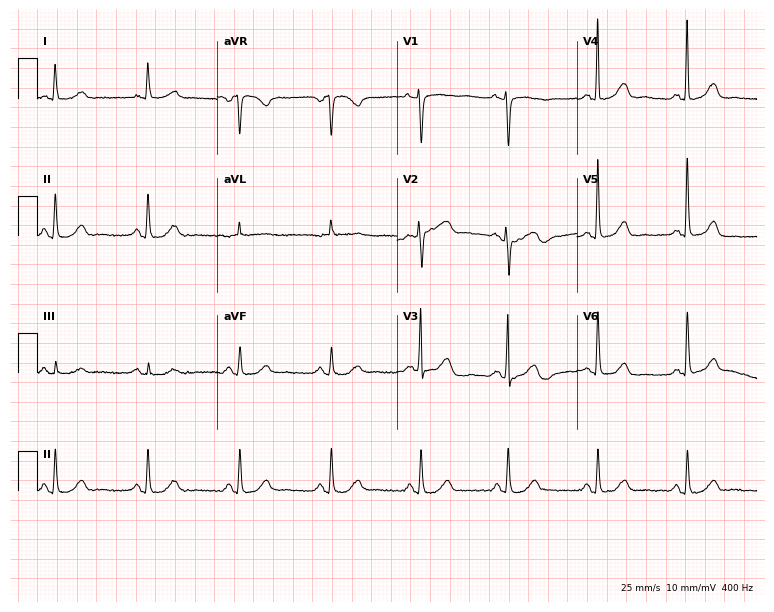
12-lead ECG from a female, 85 years old. No first-degree AV block, right bundle branch block (RBBB), left bundle branch block (LBBB), sinus bradycardia, atrial fibrillation (AF) or sinus tachycardia recorded for this tracing. Only these six findings were labelled.